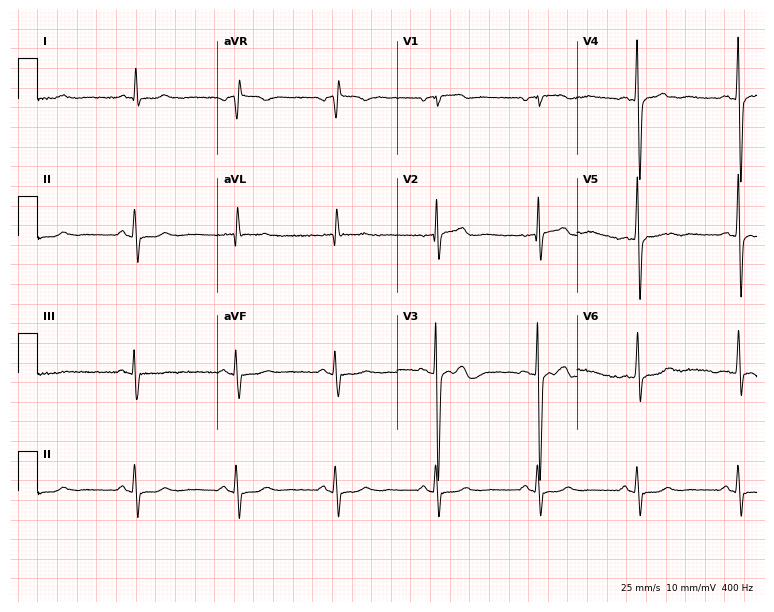
ECG — a 67-year-old male. Screened for six findings — first-degree AV block, right bundle branch block (RBBB), left bundle branch block (LBBB), sinus bradycardia, atrial fibrillation (AF), sinus tachycardia — none is recorded.